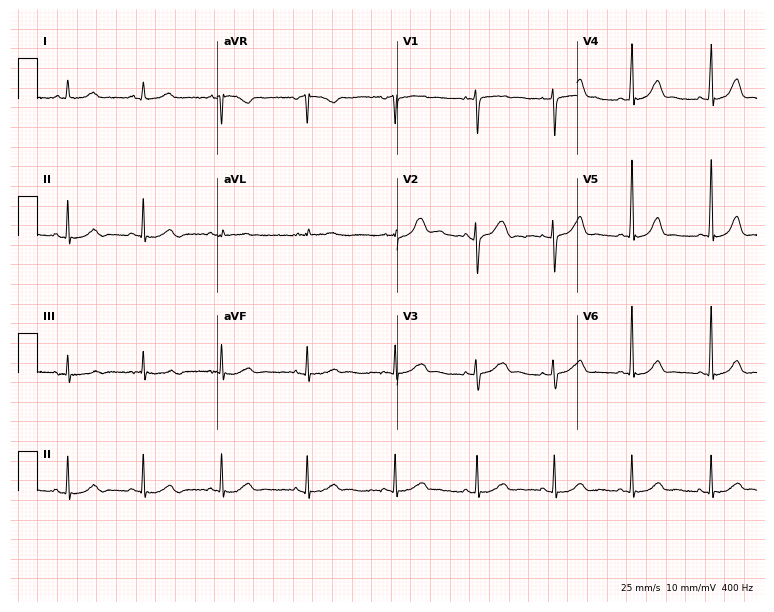
Standard 12-lead ECG recorded from a woman, 41 years old (7.3-second recording at 400 Hz). Read as a normal ECG.